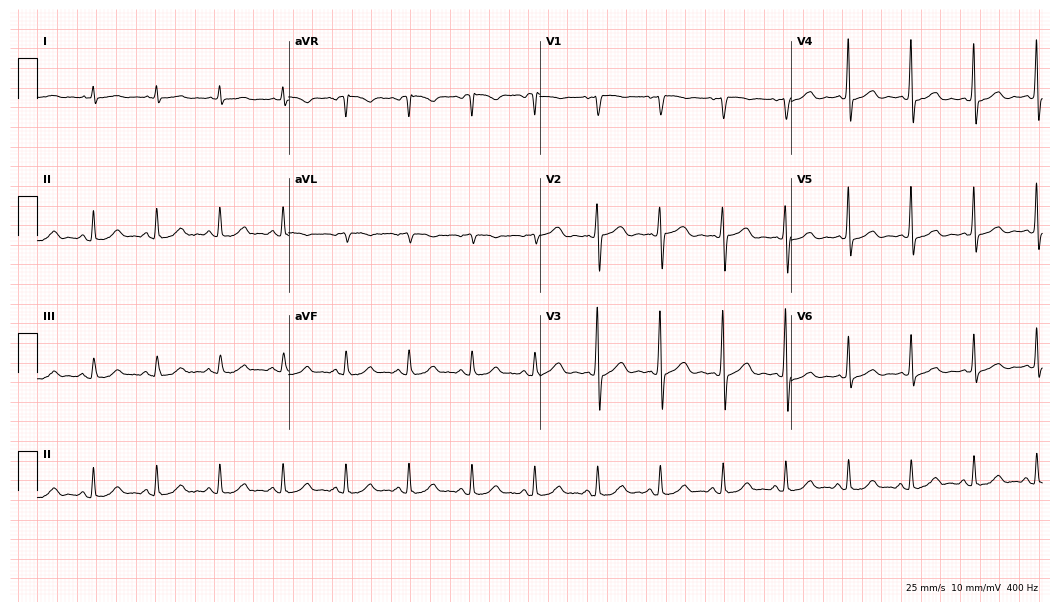
Standard 12-lead ECG recorded from a 78-year-old male patient. Read as a normal ECG.